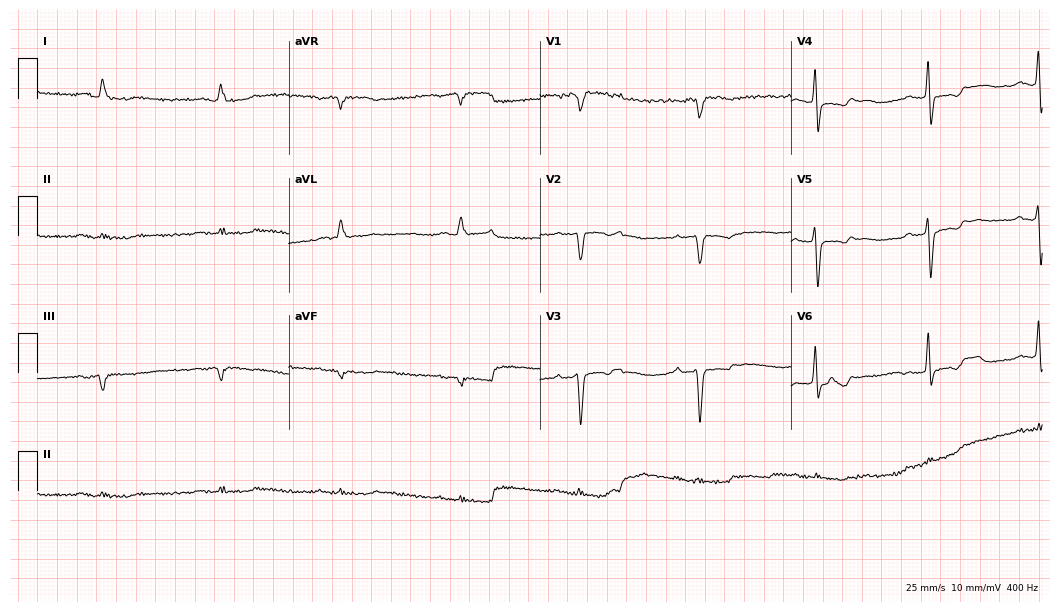
Electrocardiogram, a 60-year-old male patient. Of the six screened findings (first-degree AV block, right bundle branch block (RBBB), left bundle branch block (LBBB), sinus bradycardia, atrial fibrillation (AF), sinus tachycardia), none is recorded. Other findings, if any, are not listed.